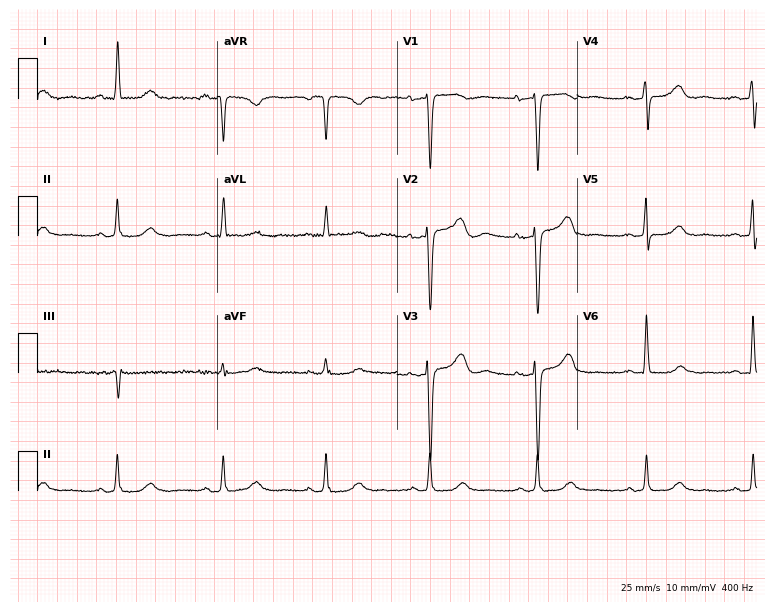
ECG — a female, 49 years old. Labelled as a normal ECG.